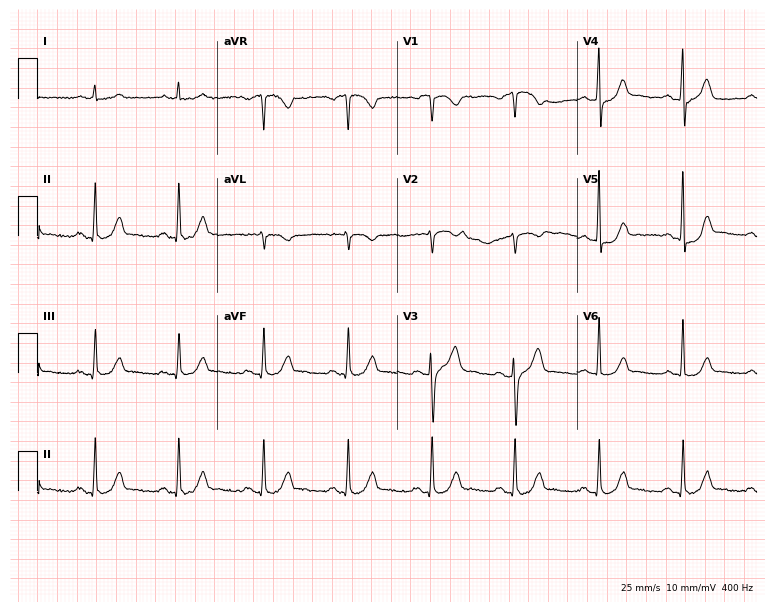
Electrocardiogram (7.3-second recording at 400 Hz), a man, 61 years old. Of the six screened findings (first-degree AV block, right bundle branch block (RBBB), left bundle branch block (LBBB), sinus bradycardia, atrial fibrillation (AF), sinus tachycardia), none is recorded. Findings outside these six are not listed.